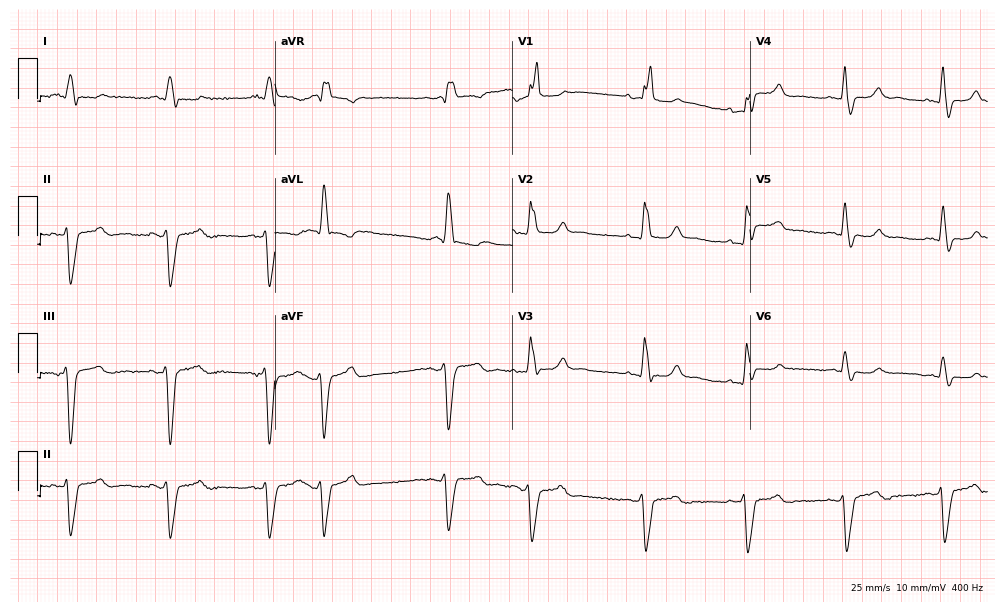
Electrocardiogram, a 74-year-old man. Interpretation includes right bundle branch block (RBBB).